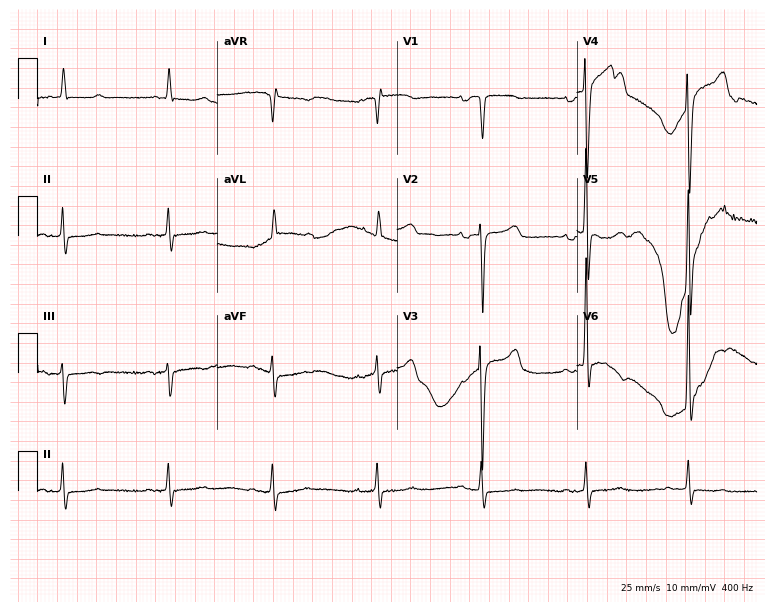
ECG (7.3-second recording at 400 Hz) — an 84-year-old female patient. Screened for six findings — first-degree AV block, right bundle branch block (RBBB), left bundle branch block (LBBB), sinus bradycardia, atrial fibrillation (AF), sinus tachycardia — none is recorded. Findings outside these six are not listed.